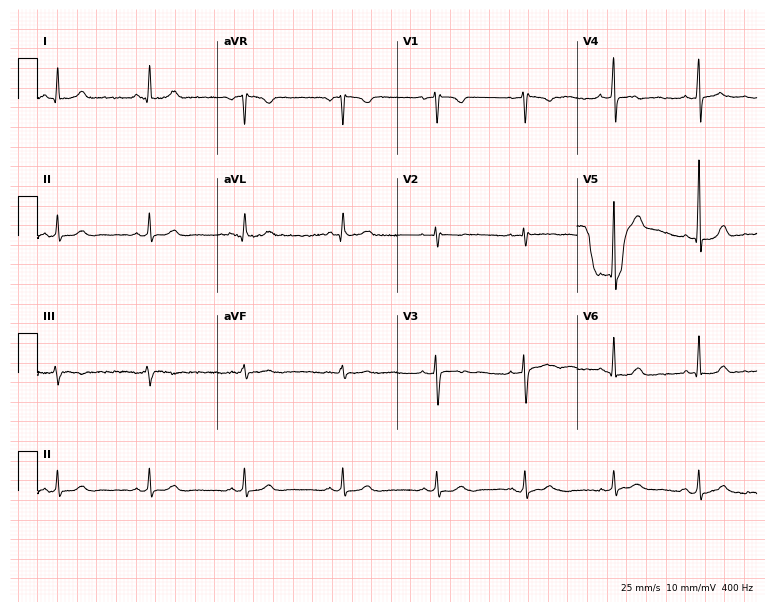
12-lead ECG from a 29-year-old female. No first-degree AV block, right bundle branch block, left bundle branch block, sinus bradycardia, atrial fibrillation or sinus tachycardia recorded for this tracing.